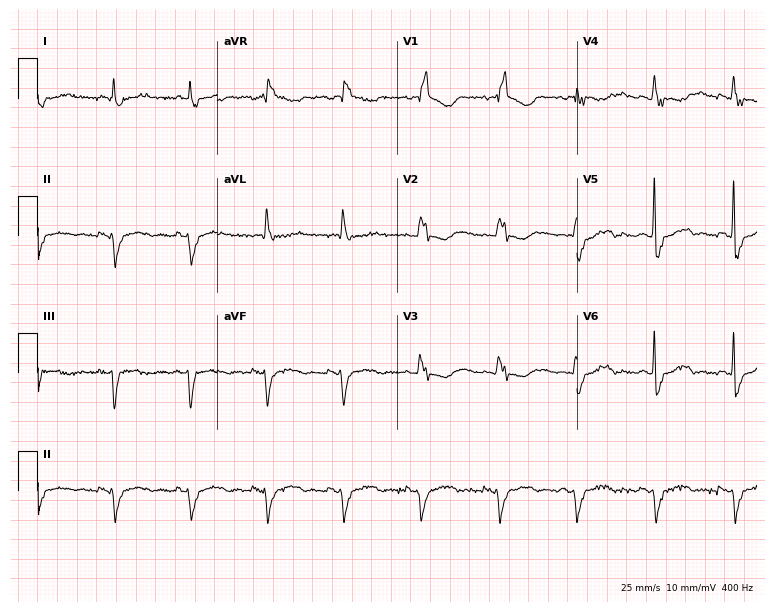
Electrocardiogram, an 81-year-old female. Interpretation includes right bundle branch block (RBBB).